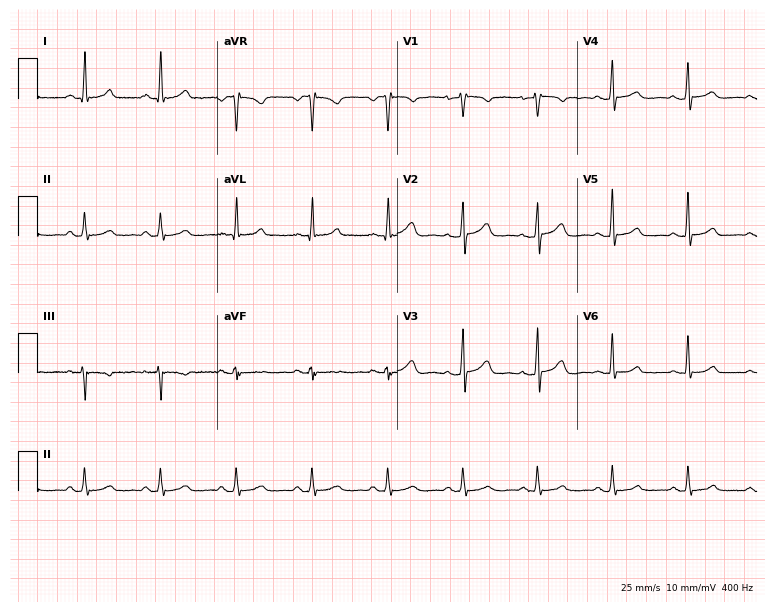
Resting 12-lead electrocardiogram. Patient: a 46-year-old female. Read as a normal ECG.